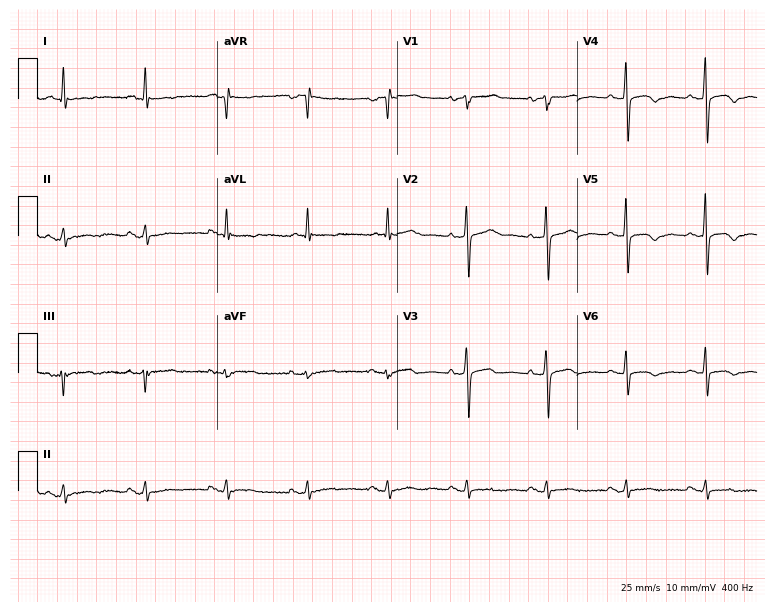
Resting 12-lead electrocardiogram. Patient: a 79-year-old woman. None of these six findings is recorded: first-degree AV block, right bundle branch block (RBBB), left bundle branch block (LBBB), sinus bradycardia, atrial fibrillation (AF), sinus tachycardia. Only these six findings were labelled.